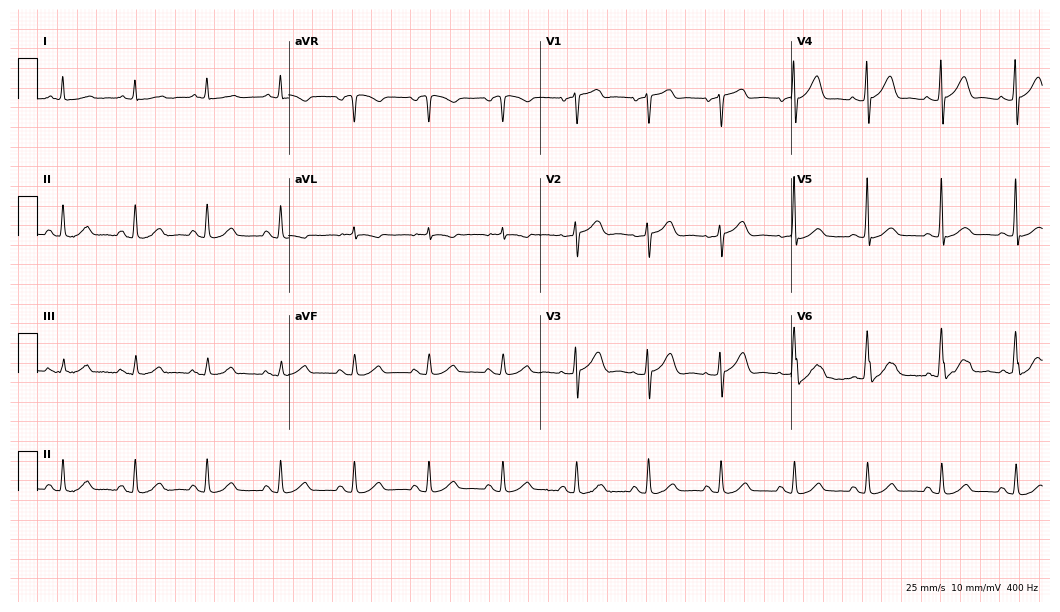
12-lead ECG from a 77-year-old female patient (10.2-second recording at 400 Hz). Recorded interpretation: within normal limits.